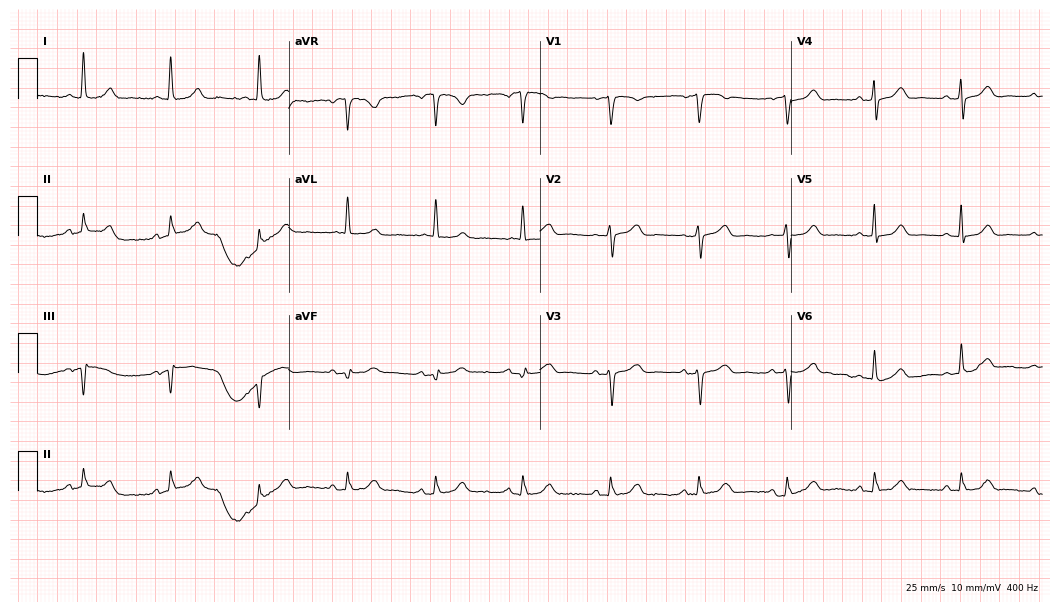
Standard 12-lead ECG recorded from a woman, 80 years old. Read as a normal ECG.